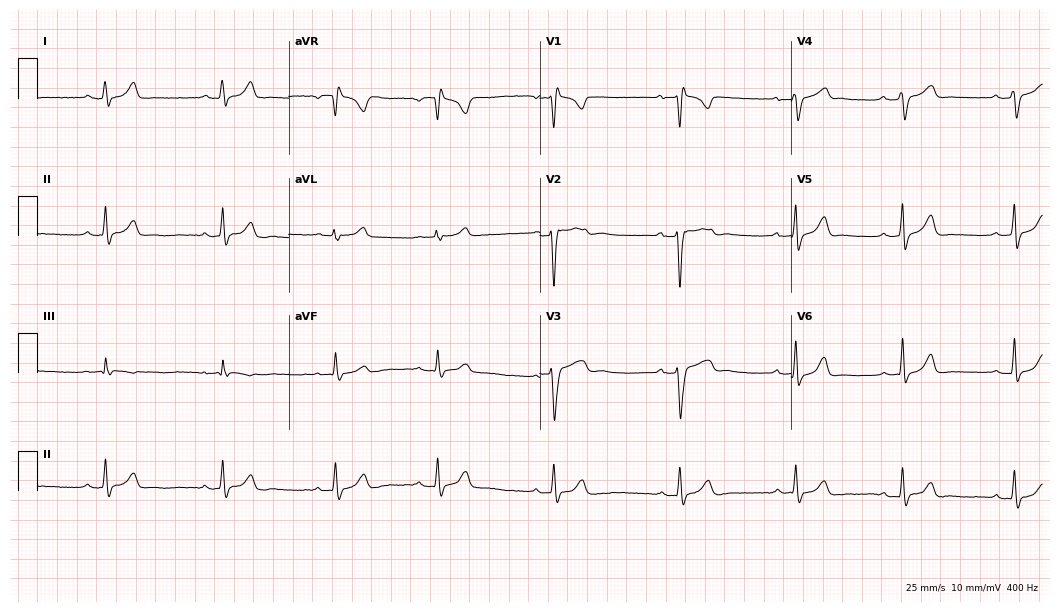
ECG (10.2-second recording at 400 Hz) — a female patient, 20 years old. Screened for six findings — first-degree AV block, right bundle branch block, left bundle branch block, sinus bradycardia, atrial fibrillation, sinus tachycardia — none is recorded. Only these six findings were labelled.